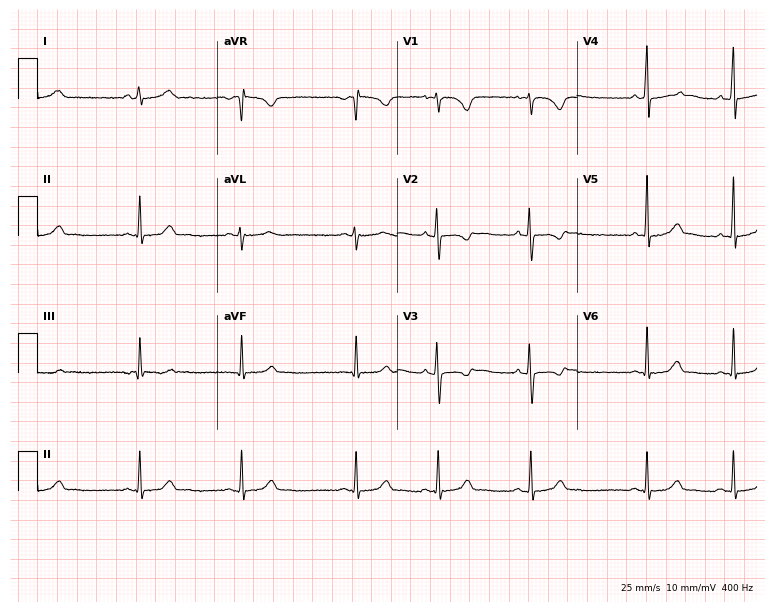
ECG — a female, 19 years old. Labelled as a normal ECG.